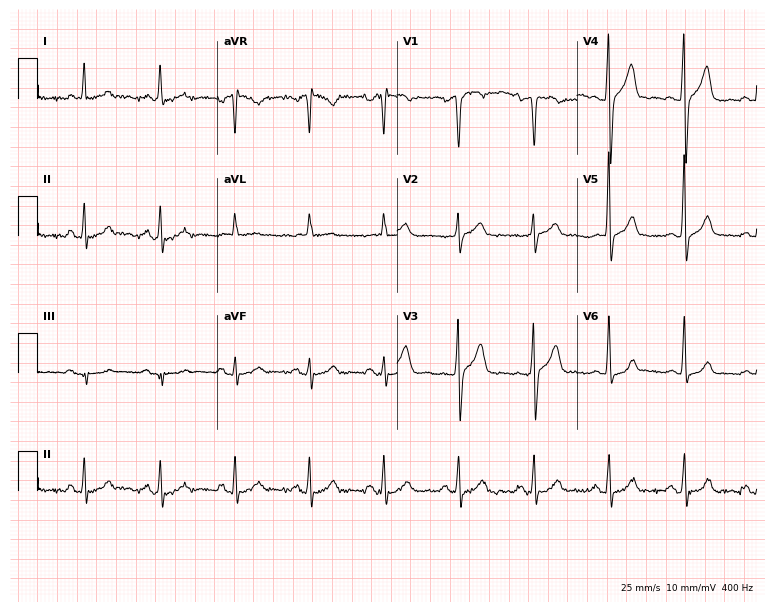
12-lead ECG from a 79-year-old male patient (7.3-second recording at 400 Hz). Recorded interpretation: within normal limits.